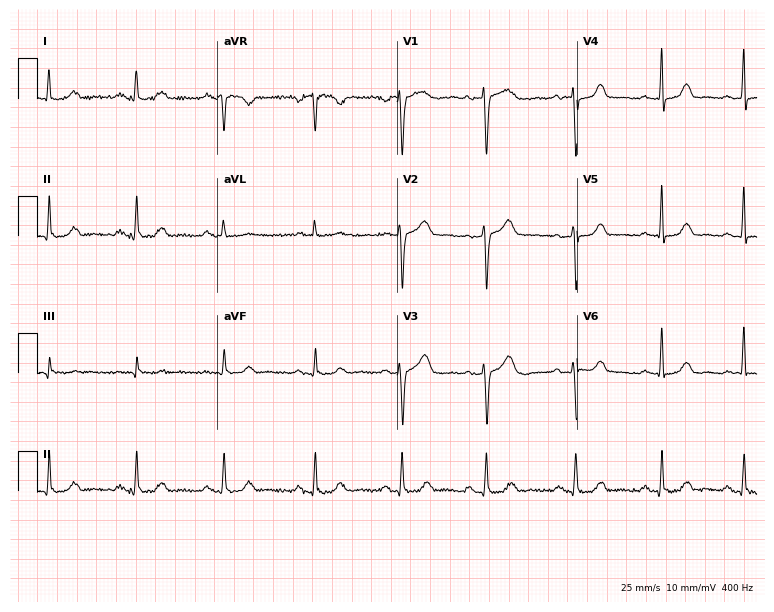
12-lead ECG from a female, 52 years old (7.3-second recording at 400 Hz). Recorded interpretation: within normal limits.